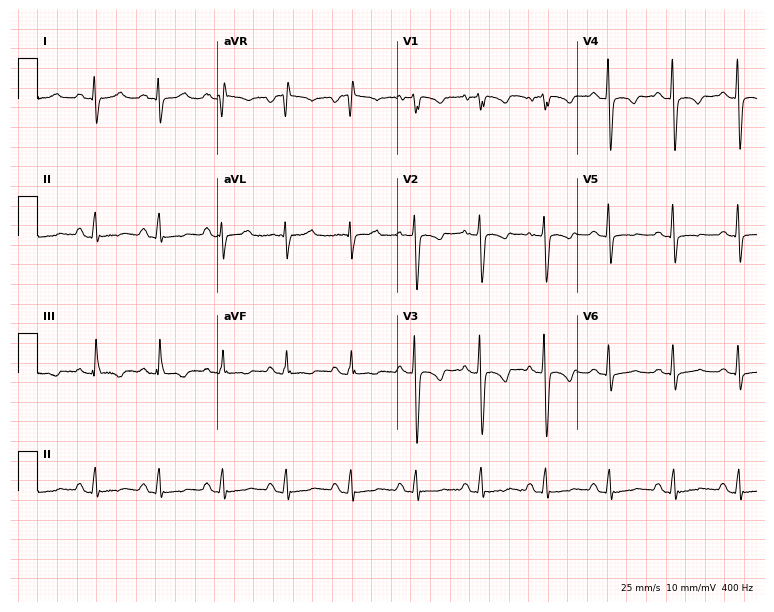
ECG — a 48-year-old female patient. Screened for six findings — first-degree AV block, right bundle branch block (RBBB), left bundle branch block (LBBB), sinus bradycardia, atrial fibrillation (AF), sinus tachycardia — none is recorded. Other findings, if any, are not listed.